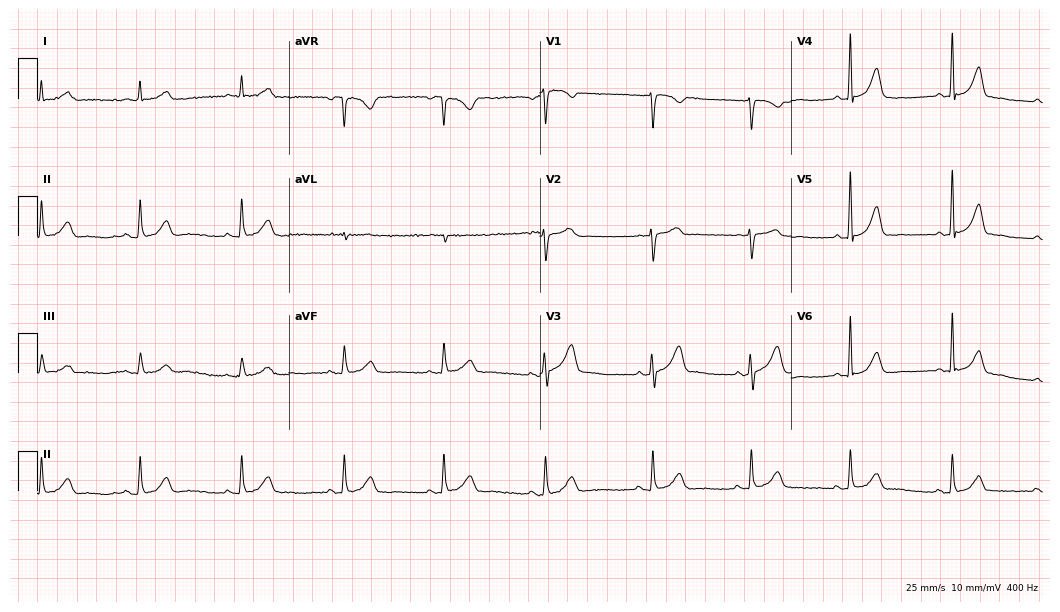
12-lead ECG from a female, 61 years old (10.2-second recording at 400 Hz). Recorded interpretation: within normal limits.